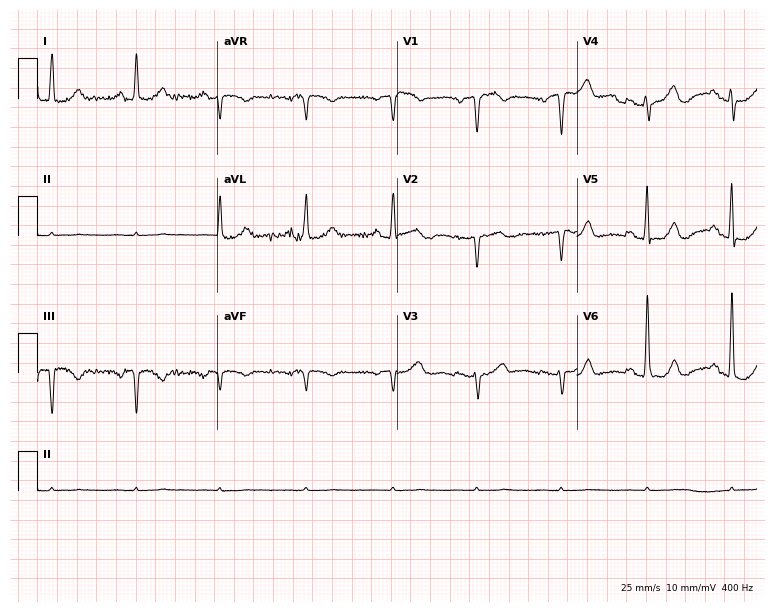
ECG (7.3-second recording at 400 Hz) — a female patient, 72 years old. Screened for six findings — first-degree AV block, right bundle branch block, left bundle branch block, sinus bradycardia, atrial fibrillation, sinus tachycardia — none is recorded. Findings outside these six are not listed.